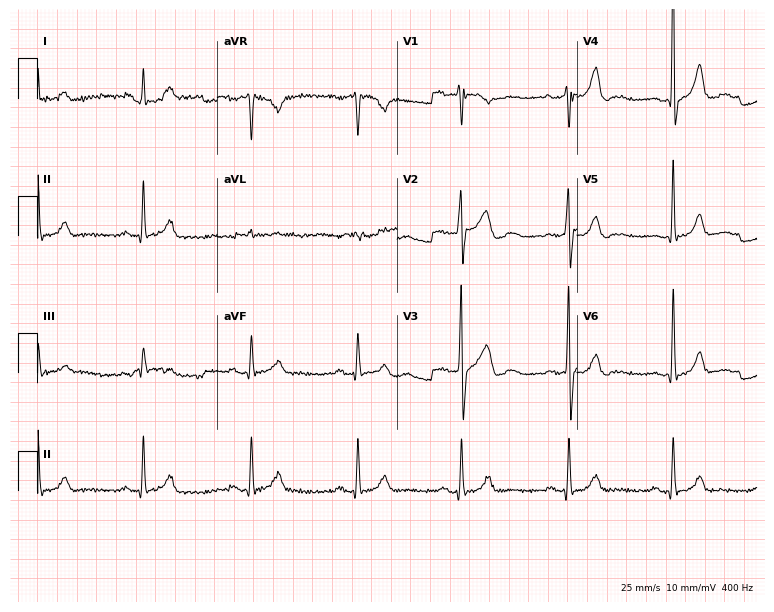
Resting 12-lead electrocardiogram (7.3-second recording at 400 Hz). Patient: a male, 59 years old. None of these six findings is recorded: first-degree AV block, right bundle branch block (RBBB), left bundle branch block (LBBB), sinus bradycardia, atrial fibrillation (AF), sinus tachycardia. Only these six findings were labelled.